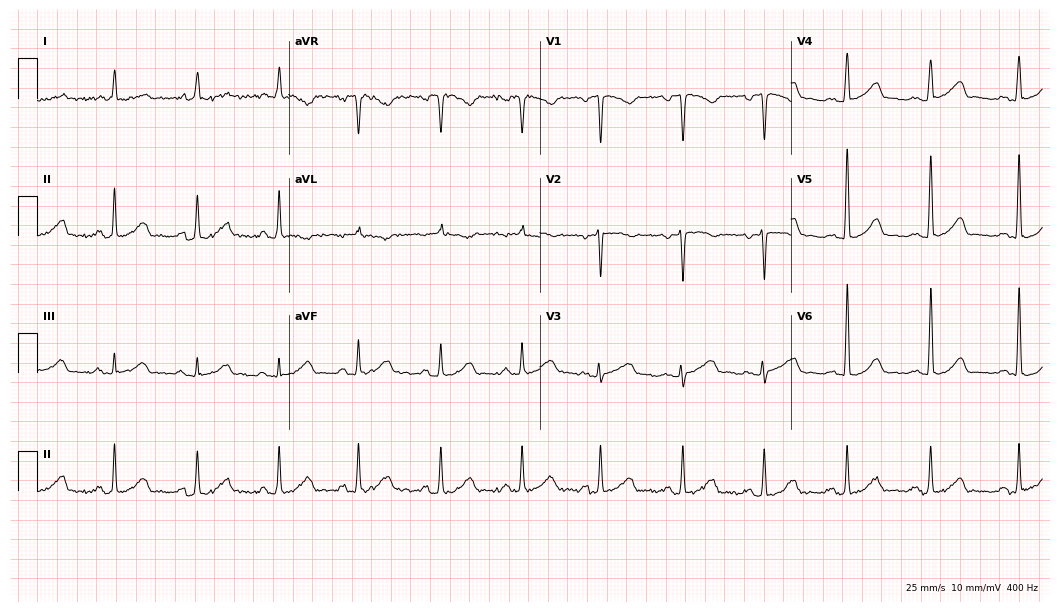
12-lead ECG (10.2-second recording at 400 Hz) from a woman, 40 years old. Screened for six findings — first-degree AV block, right bundle branch block (RBBB), left bundle branch block (LBBB), sinus bradycardia, atrial fibrillation (AF), sinus tachycardia — none is recorded. Only these six findings were labelled.